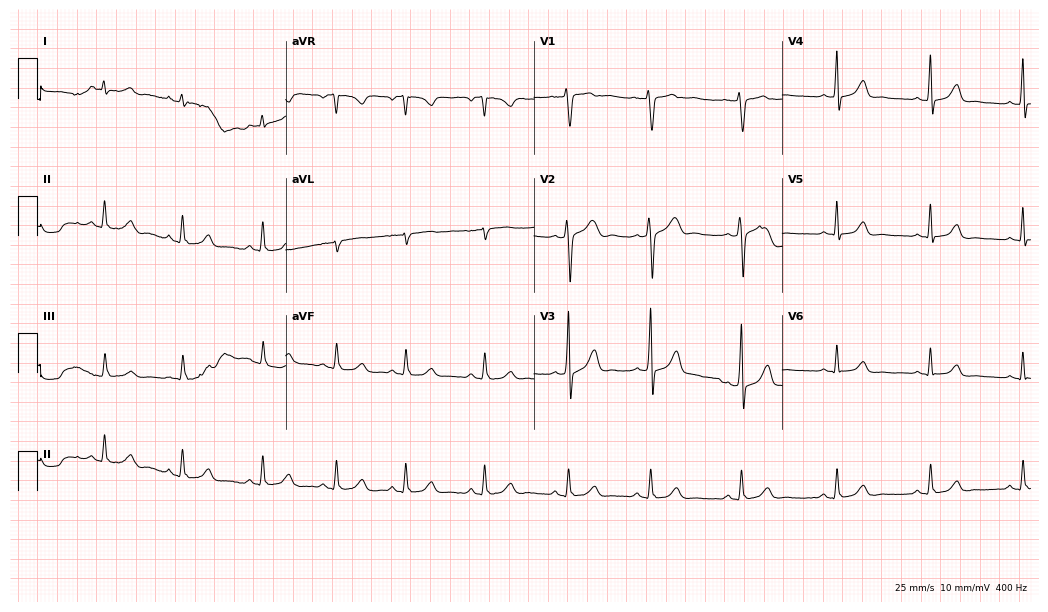
Standard 12-lead ECG recorded from a 22-year-old female. None of these six findings is recorded: first-degree AV block, right bundle branch block, left bundle branch block, sinus bradycardia, atrial fibrillation, sinus tachycardia. Other findings, if any, are not listed.